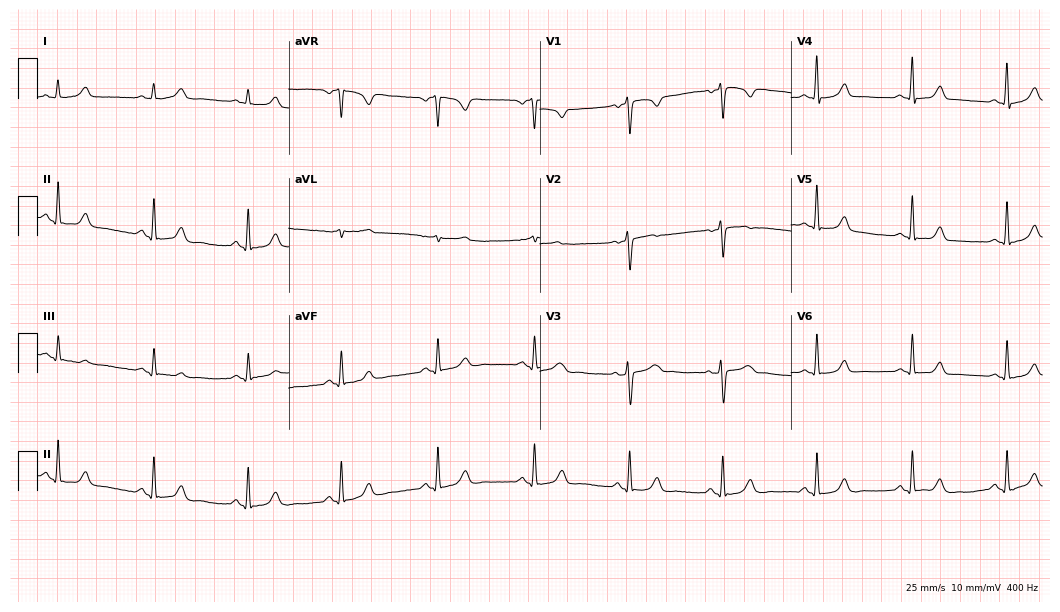
12-lead ECG (10.2-second recording at 400 Hz) from a 34-year-old female patient. Labelled as a normal ECG.